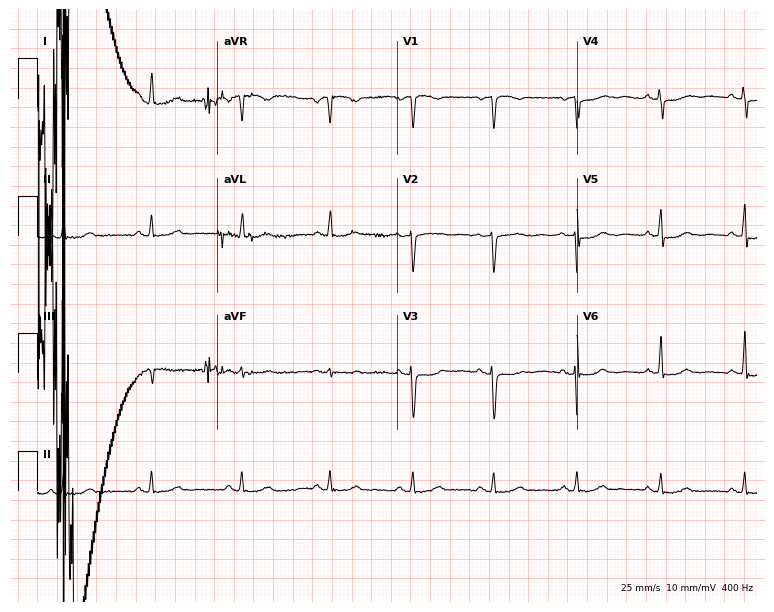
Electrocardiogram (7.3-second recording at 400 Hz), a 53-year-old woman. Of the six screened findings (first-degree AV block, right bundle branch block, left bundle branch block, sinus bradycardia, atrial fibrillation, sinus tachycardia), none is recorded. Other findings, if any, are not listed.